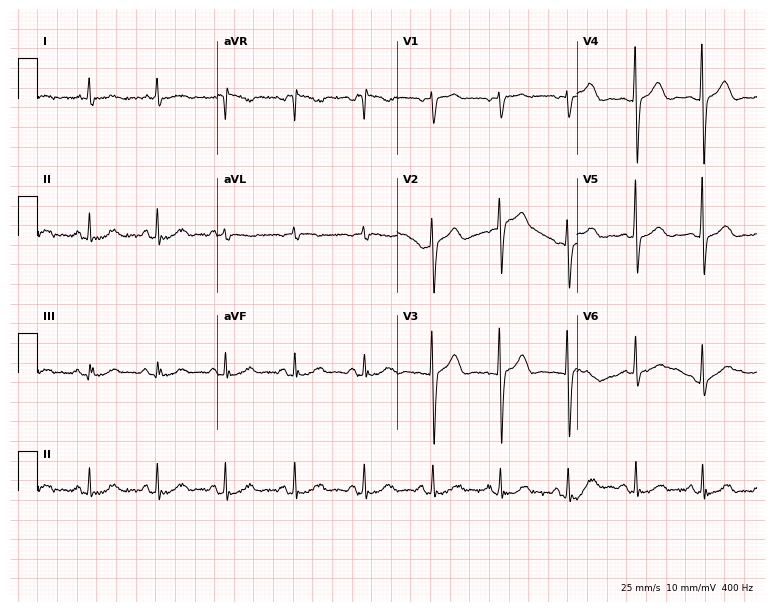
Standard 12-lead ECG recorded from a female patient, 80 years old (7.3-second recording at 400 Hz). None of these six findings is recorded: first-degree AV block, right bundle branch block, left bundle branch block, sinus bradycardia, atrial fibrillation, sinus tachycardia. Other findings, if any, are not listed.